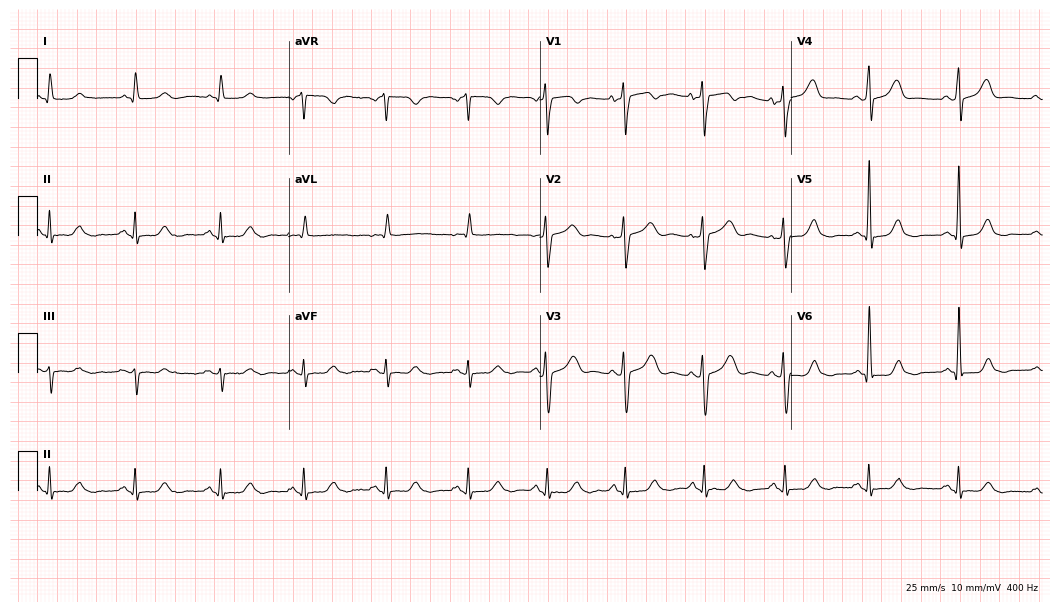
Standard 12-lead ECG recorded from a female patient, 76 years old. None of these six findings is recorded: first-degree AV block, right bundle branch block, left bundle branch block, sinus bradycardia, atrial fibrillation, sinus tachycardia.